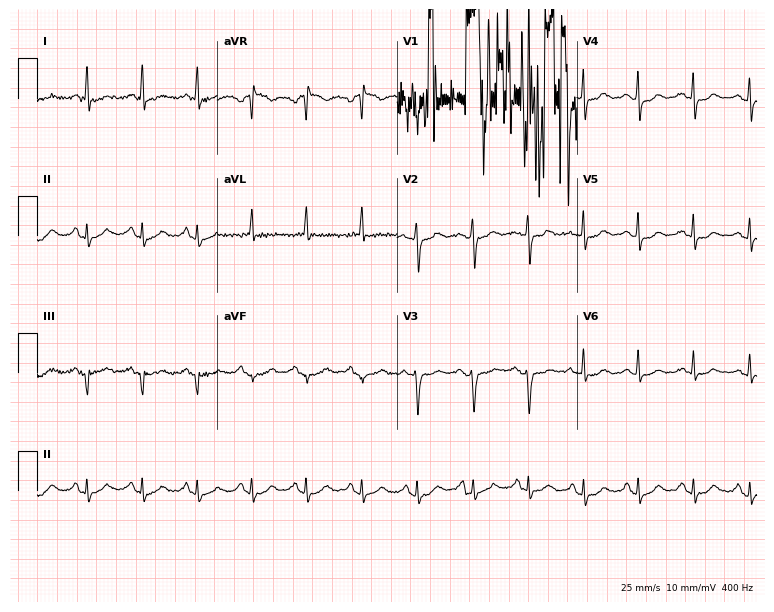
Electrocardiogram, a 60-year-old female patient. Of the six screened findings (first-degree AV block, right bundle branch block (RBBB), left bundle branch block (LBBB), sinus bradycardia, atrial fibrillation (AF), sinus tachycardia), none is recorded. Other findings, if any, are not listed.